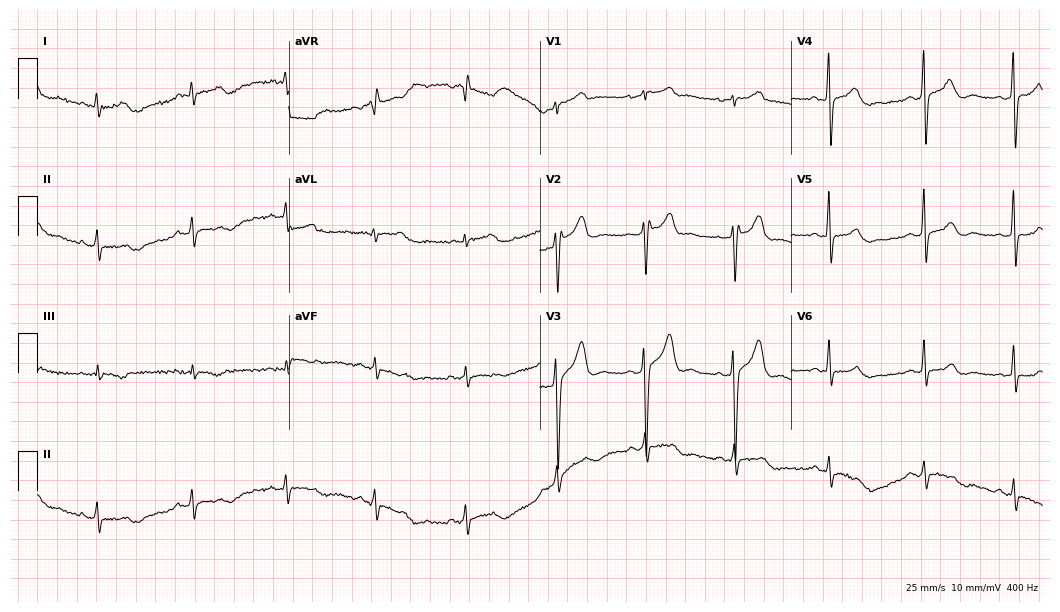
Resting 12-lead electrocardiogram. Patient: a 46-year-old male. Read as a normal ECG.